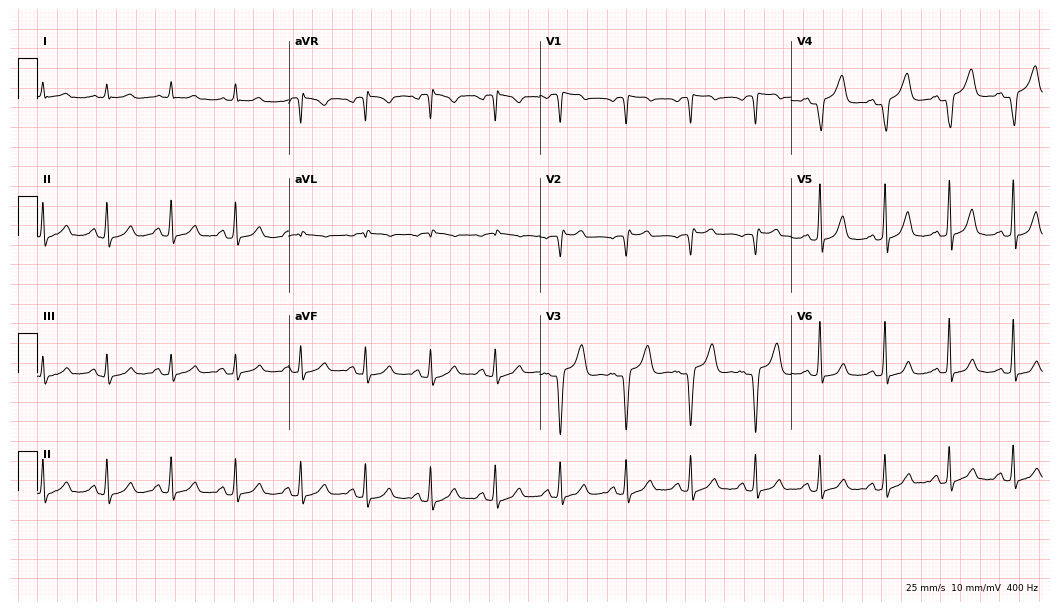
12-lead ECG (10.2-second recording at 400 Hz) from a 64-year-old female patient. Screened for six findings — first-degree AV block, right bundle branch block (RBBB), left bundle branch block (LBBB), sinus bradycardia, atrial fibrillation (AF), sinus tachycardia — none is recorded.